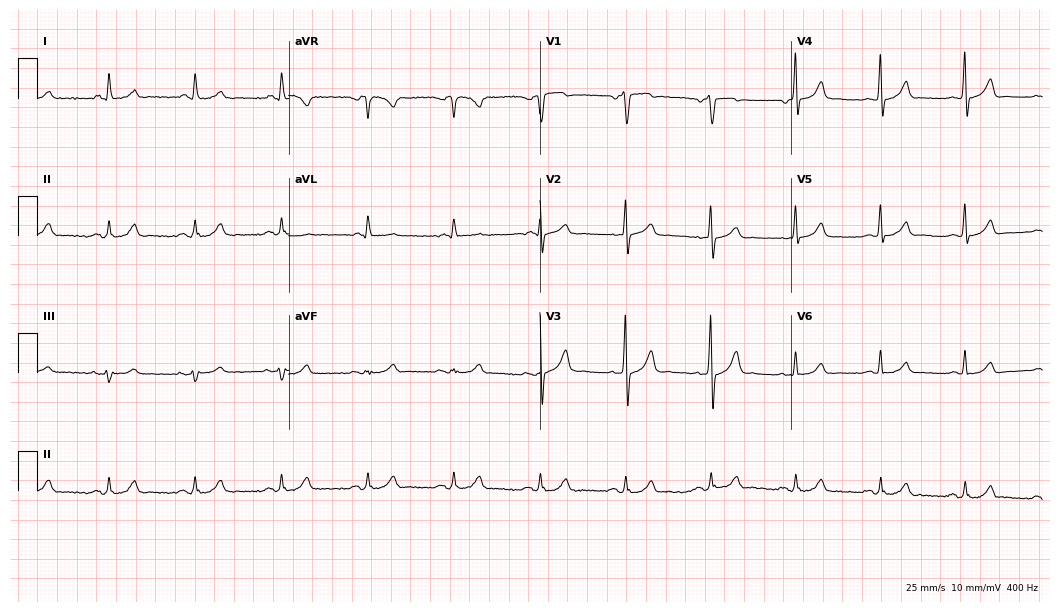
Standard 12-lead ECG recorded from a male, 79 years old. None of these six findings is recorded: first-degree AV block, right bundle branch block, left bundle branch block, sinus bradycardia, atrial fibrillation, sinus tachycardia.